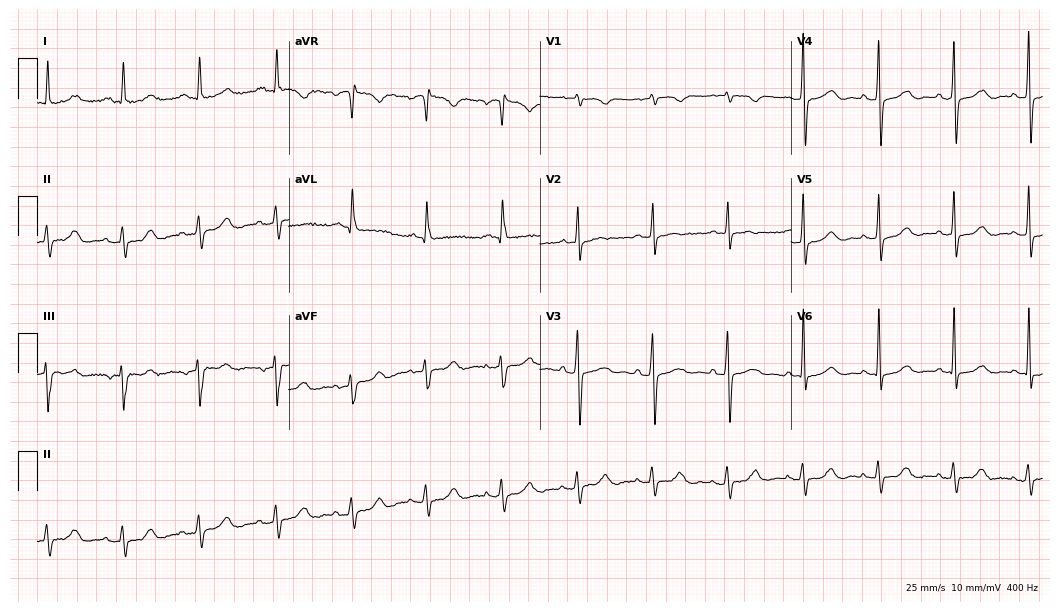
Resting 12-lead electrocardiogram (10.2-second recording at 400 Hz). Patient: a woman, 77 years old. Read as a normal ECG.